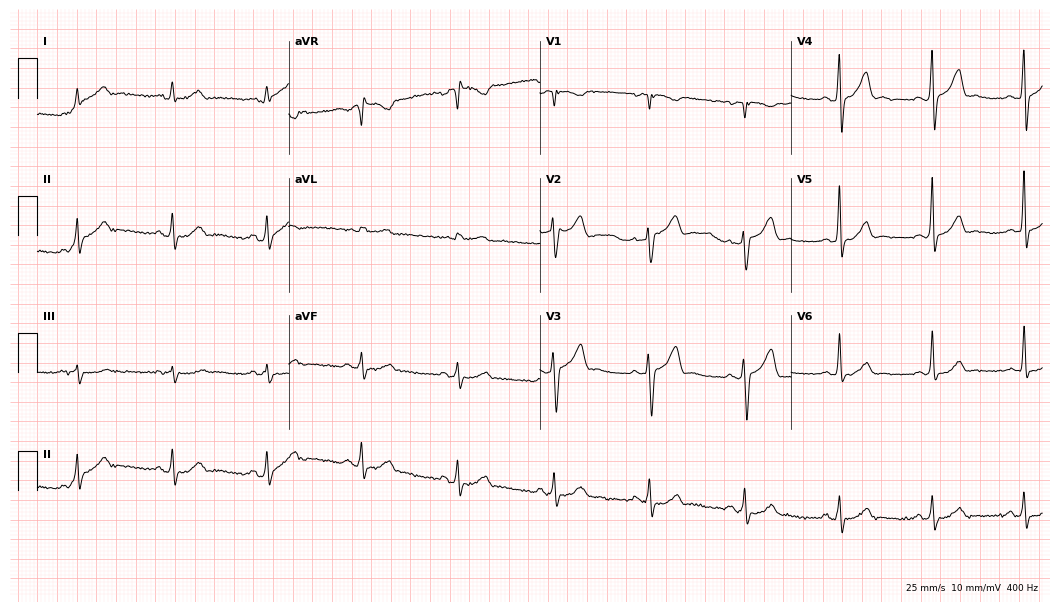
Standard 12-lead ECG recorded from a male patient, 46 years old. Read as a normal ECG.